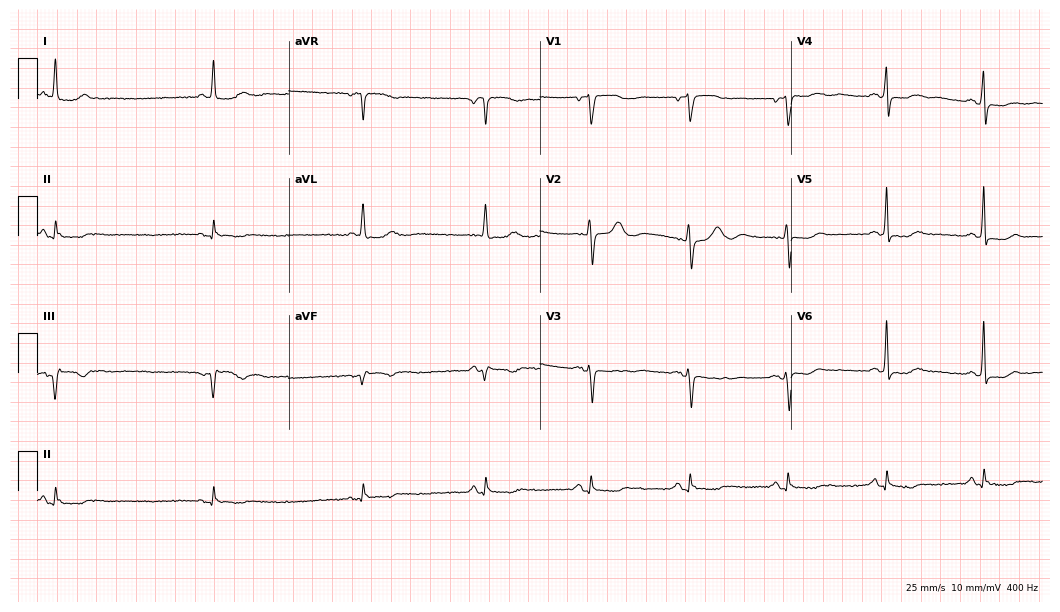
12-lead ECG from an 85-year-old female. Shows sinus bradycardia (a sinus rate of 50 beats per minute or less).